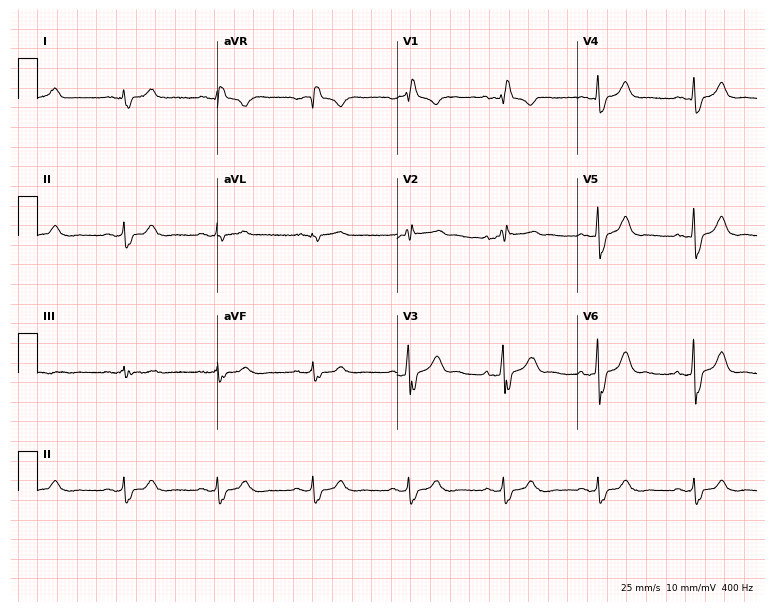
ECG — a male patient, 66 years old. Screened for six findings — first-degree AV block, right bundle branch block (RBBB), left bundle branch block (LBBB), sinus bradycardia, atrial fibrillation (AF), sinus tachycardia — none is recorded.